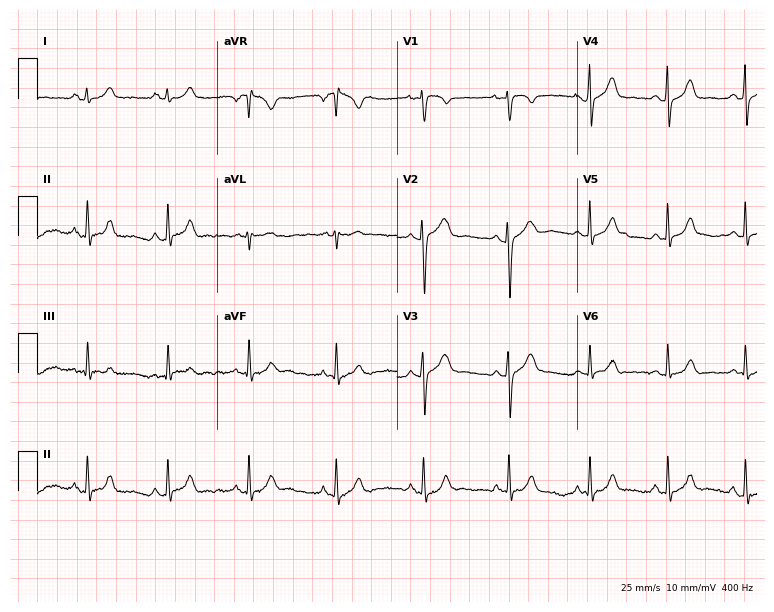
Standard 12-lead ECG recorded from a female patient, 17 years old (7.3-second recording at 400 Hz). None of these six findings is recorded: first-degree AV block, right bundle branch block, left bundle branch block, sinus bradycardia, atrial fibrillation, sinus tachycardia.